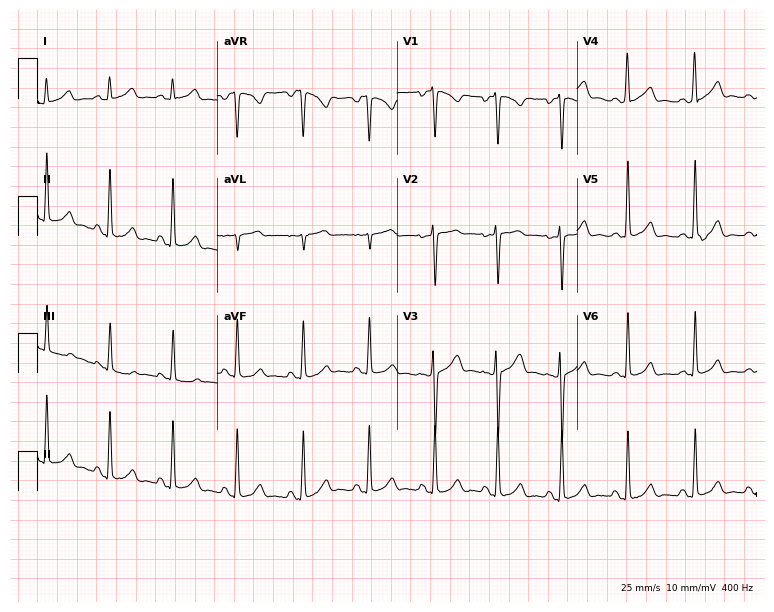
12-lead ECG from a 21-year-old female (7.3-second recording at 400 Hz). No first-degree AV block, right bundle branch block, left bundle branch block, sinus bradycardia, atrial fibrillation or sinus tachycardia recorded for this tracing. Only these six findings were labelled.